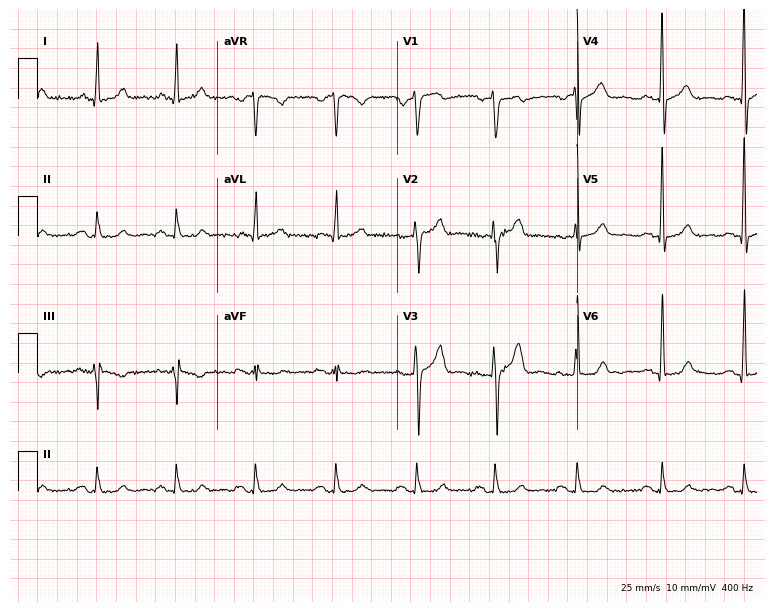
12-lead ECG from a 40-year-old male patient (7.3-second recording at 400 Hz). Recorded interpretation: within normal limits.